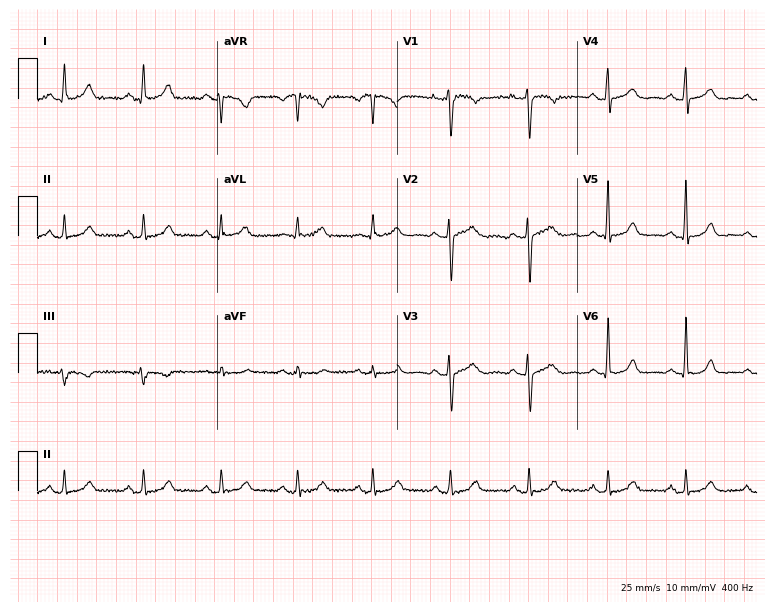
12-lead ECG (7.3-second recording at 400 Hz) from a female, 56 years old. Screened for six findings — first-degree AV block, right bundle branch block (RBBB), left bundle branch block (LBBB), sinus bradycardia, atrial fibrillation (AF), sinus tachycardia — none is recorded.